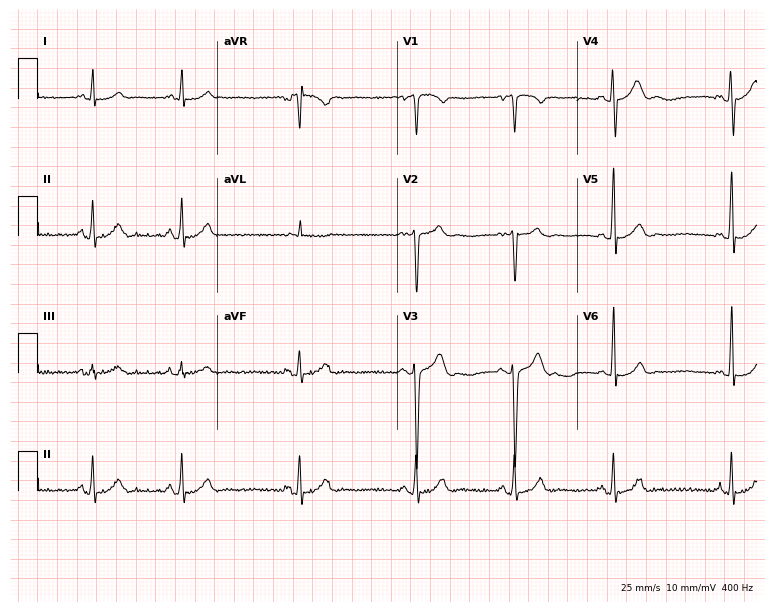
Resting 12-lead electrocardiogram. Patient: an 18-year-old male. Read as a normal ECG.